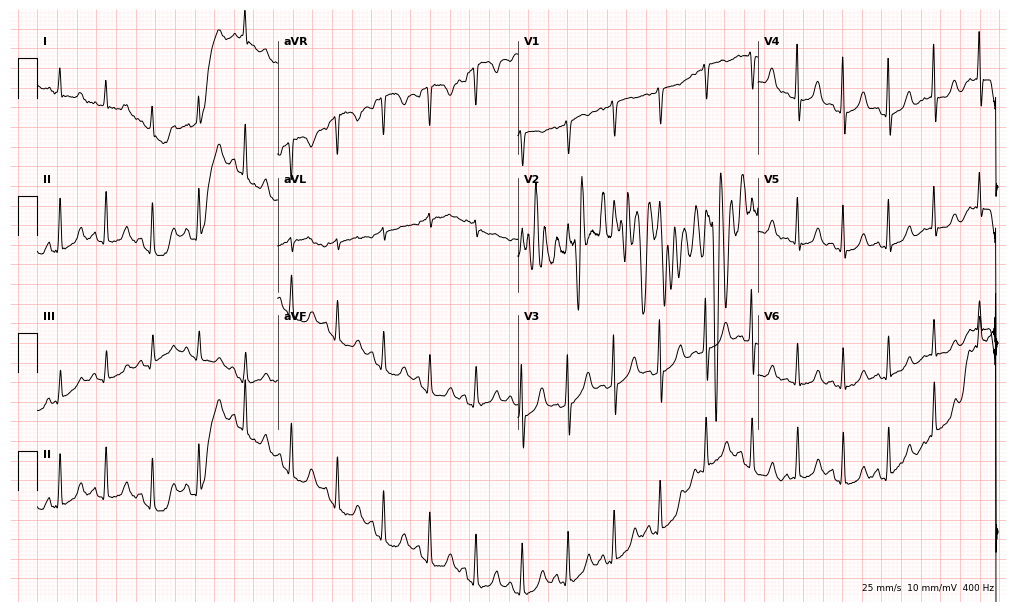
12-lead ECG from a 51-year-old woman. Shows sinus tachycardia (a sinus rate of 100 beats per minute or more).